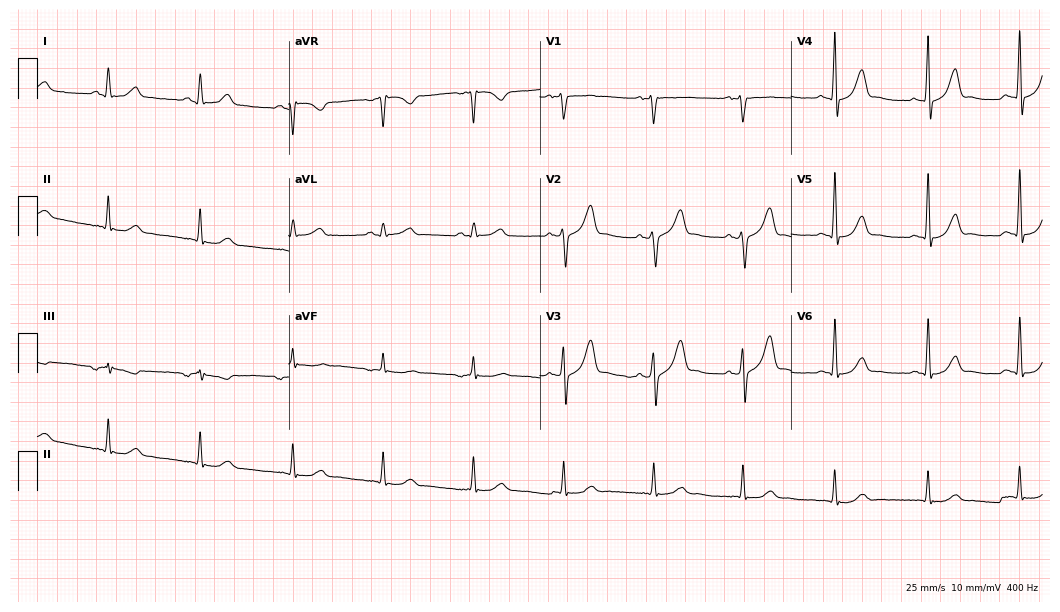
Electrocardiogram, a 63-year-old man. Of the six screened findings (first-degree AV block, right bundle branch block (RBBB), left bundle branch block (LBBB), sinus bradycardia, atrial fibrillation (AF), sinus tachycardia), none is recorded. Only these six findings were labelled.